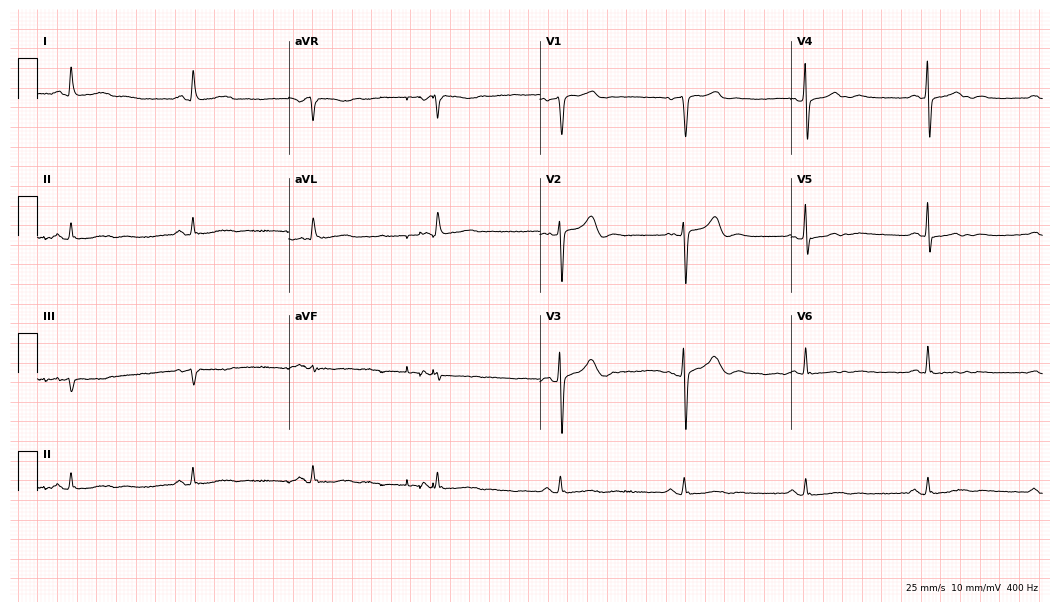
12-lead ECG (10.2-second recording at 400 Hz) from a woman, 69 years old. Screened for six findings — first-degree AV block, right bundle branch block, left bundle branch block, sinus bradycardia, atrial fibrillation, sinus tachycardia — none is recorded.